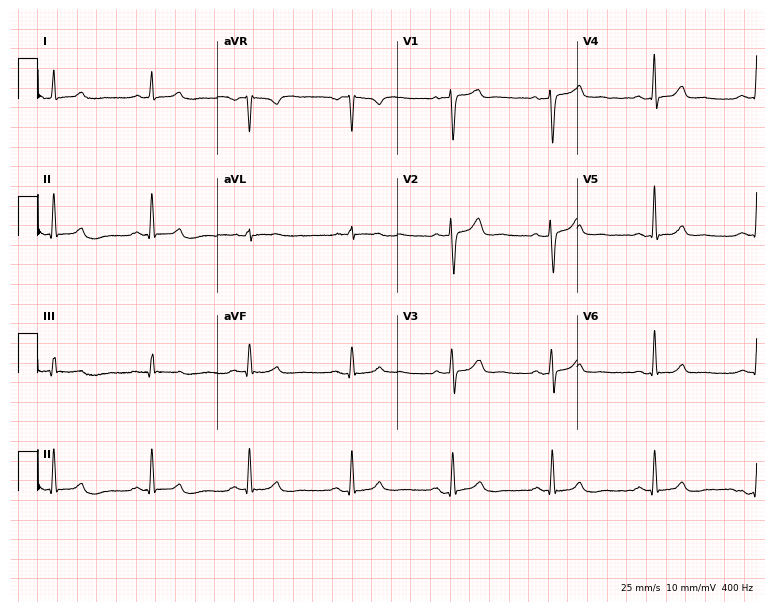
ECG (7.3-second recording at 400 Hz) — a 57-year-old male. Labelled as a normal ECG.